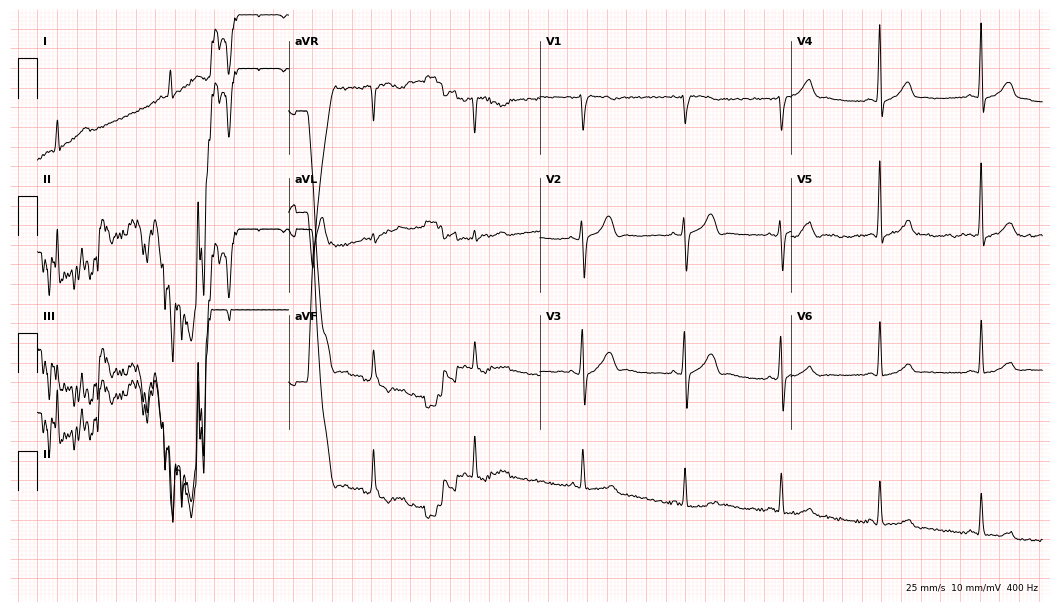
12-lead ECG from a male, 36 years old. Recorded interpretation: within normal limits.